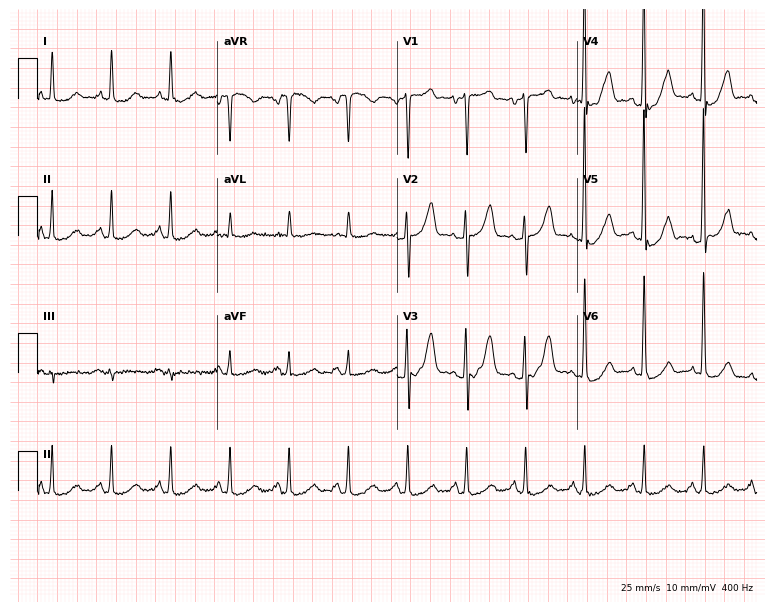
Standard 12-lead ECG recorded from a 55-year-old man. None of these six findings is recorded: first-degree AV block, right bundle branch block, left bundle branch block, sinus bradycardia, atrial fibrillation, sinus tachycardia. Findings outside these six are not listed.